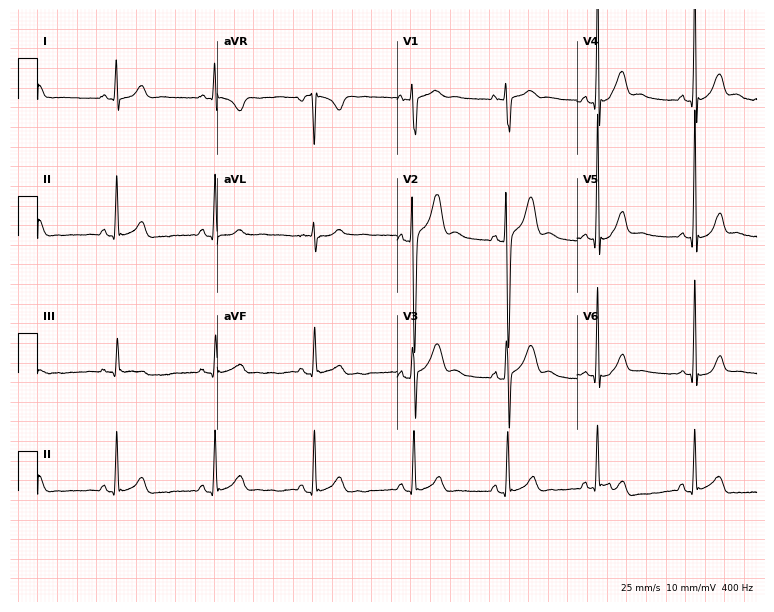
12-lead ECG from a male patient, 20 years old. Screened for six findings — first-degree AV block, right bundle branch block, left bundle branch block, sinus bradycardia, atrial fibrillation, sinus tachycardia — none is recorded.